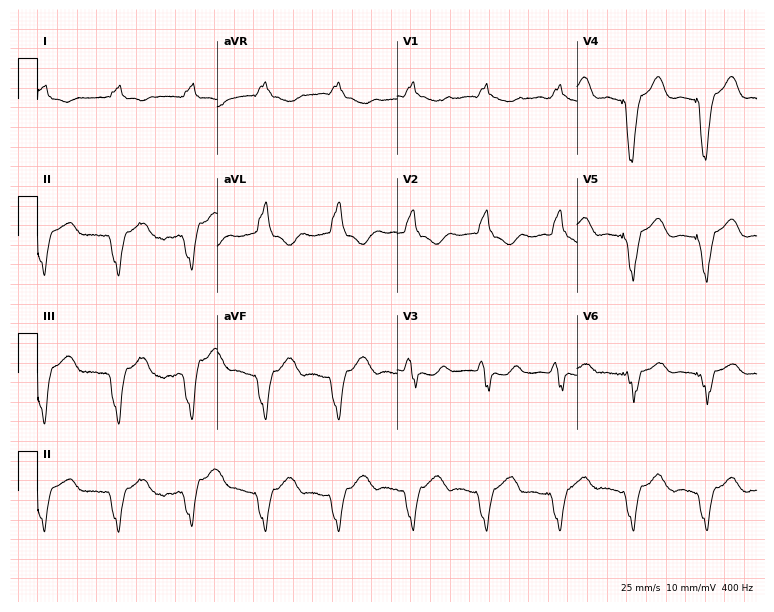
ECG — a female patient, 62 years old. Screened for six findings — first-degree AV block, right bundle branch block (RBBB), left bundle branch block (LBBB), sinus bradycardia, atrial fibrillation (AF), sinus tachycardia — none is recorded.